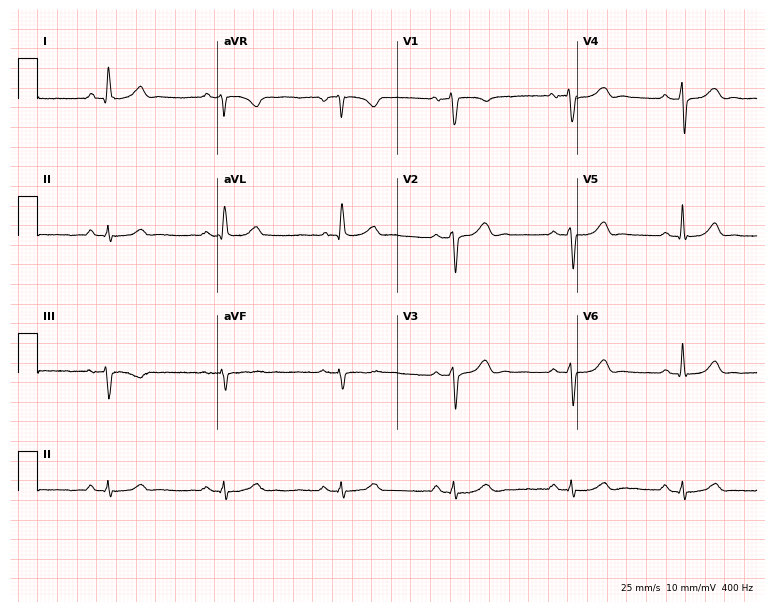
12-lead ECG from a 63-year-old male patient. No first-degree AV block, right bundle branch block, left bundle branch block, sinus bradycardia, atrial fibrillation or sinus tachycardia recorded for this tracing.